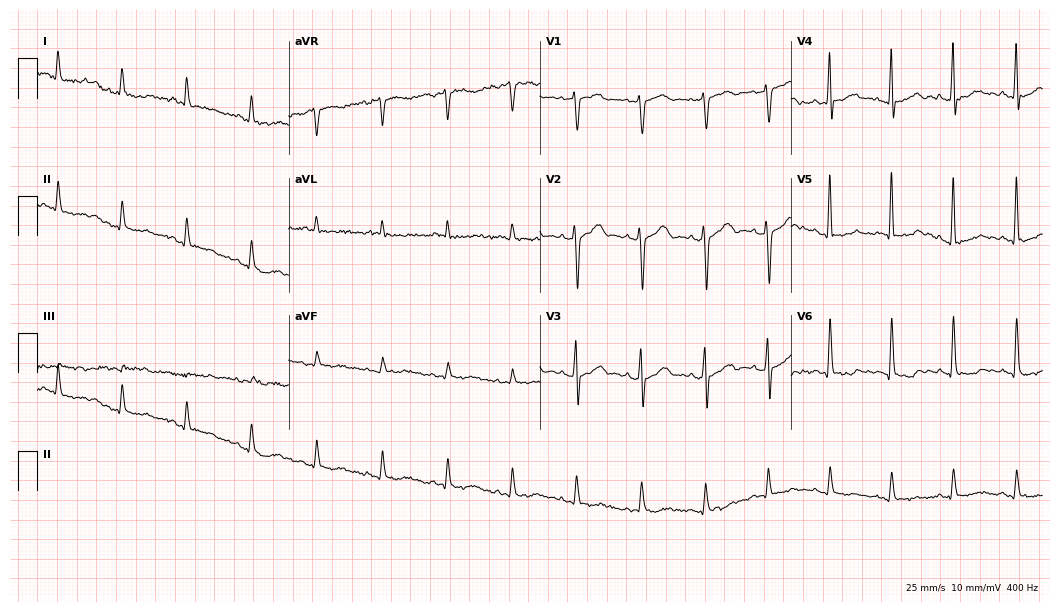
12-lead ECG (10.2-second recording at 400 Hz) from a woman, 83 years old. Screened for six findings — first-degree AV block, right bundle branch block, left bundle branch block, sinus bradycardia, atrial fibrillation, sinus tachycardia — none is recorded.